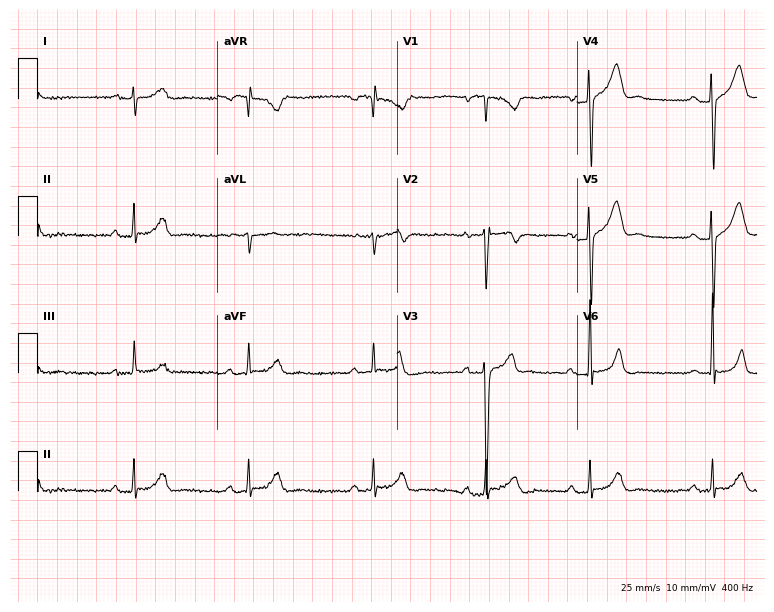
ECG (7.3-second recording at 400 Hz) — a man, 27 years old. Screened for six findings — first-degree AV block, right bundle branch block (RBBB), left bundle branch block (LBBB), sinus bradycardia, atrial fibrillation (AF), sinus tachycardia — none is recorded.